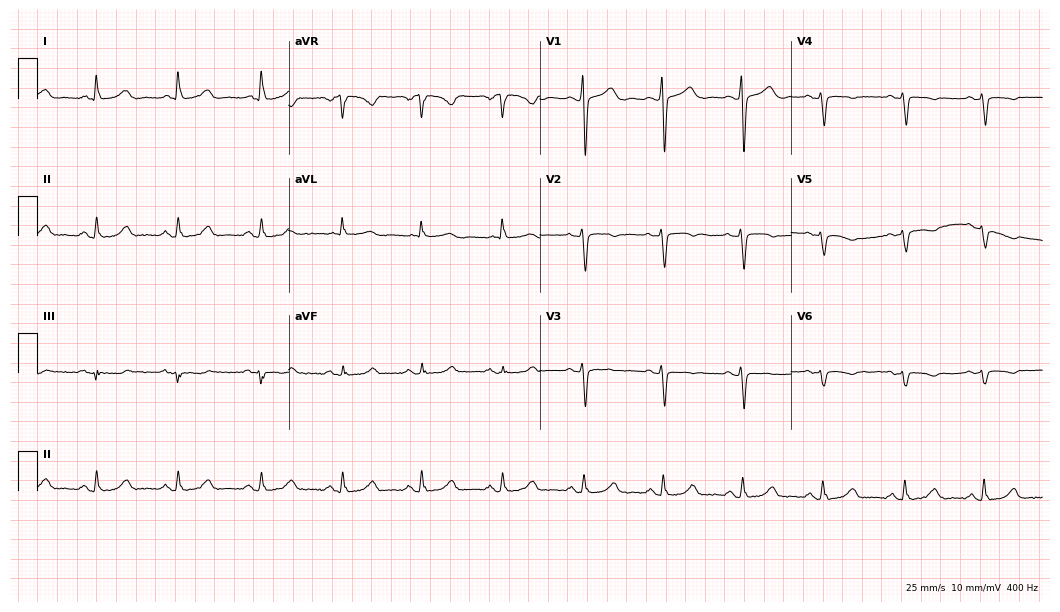
Standard 12-lead ECG recorded from a 69-year-old woman. None of these six findings is recorded: first-degree AV block, right bundle branch block, left bundle branch block, sinus bradycardia, atrial fibrillation, sinus tachycardia.